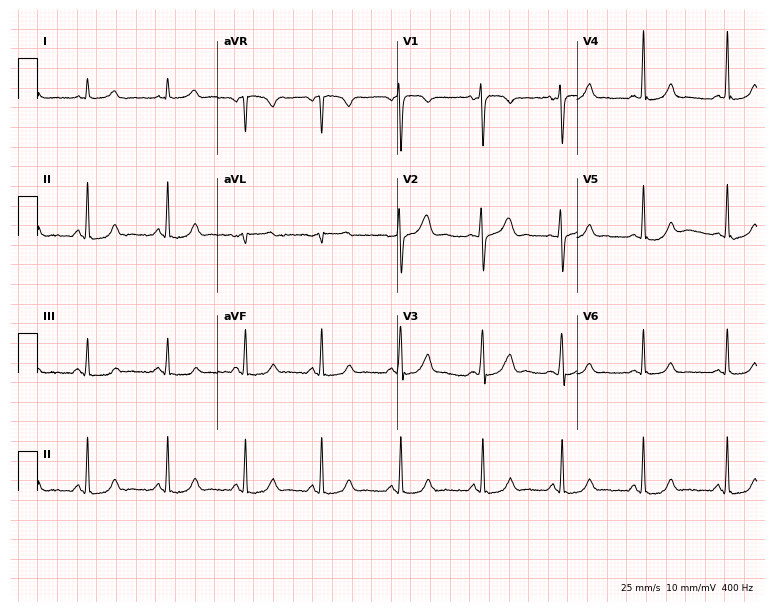
Standard 12-lead ECG recorded from a woman, 28 years old. Read as a normal ECG.